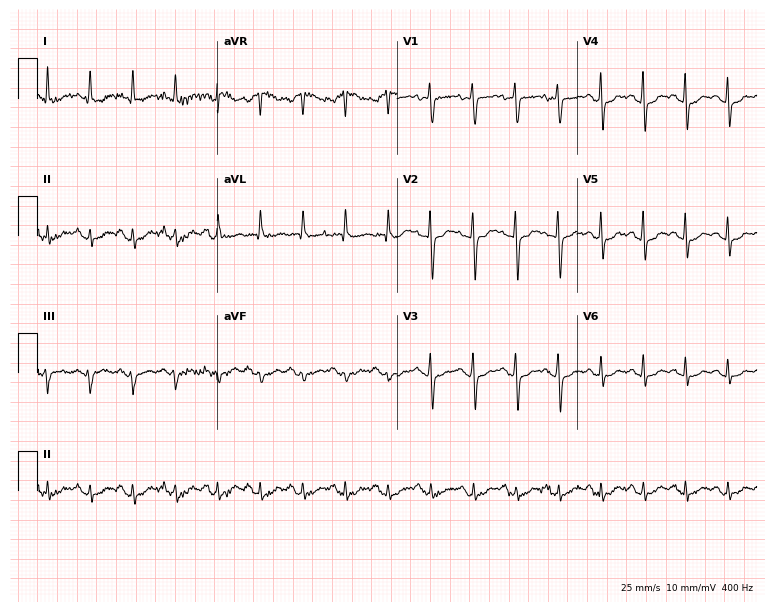
12-lead ECG from a 55-year-old female. Shows sinus tachycardia (a sinus rate of 100 beats per minute or more).